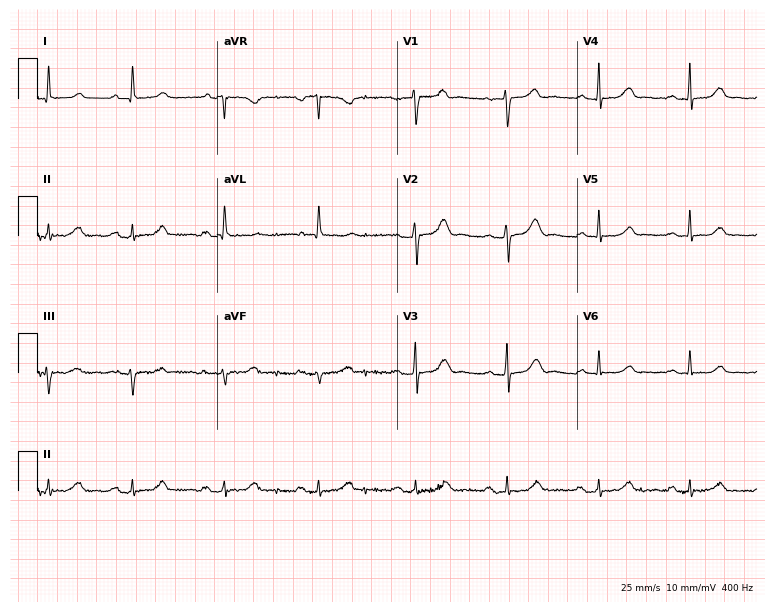
Resting 12-lead electrocardiogram (7.3-second recording at 400 Hz). Patient: a female, 48 years old. None of these six findings is recorded: first-degree AV block, right bundle branch block (RBBB), left bundle branch block (LBBB), sinus bradycardia, atrial fibrillation (AF), sinus tachycardia. Findings outside these six are not listed.